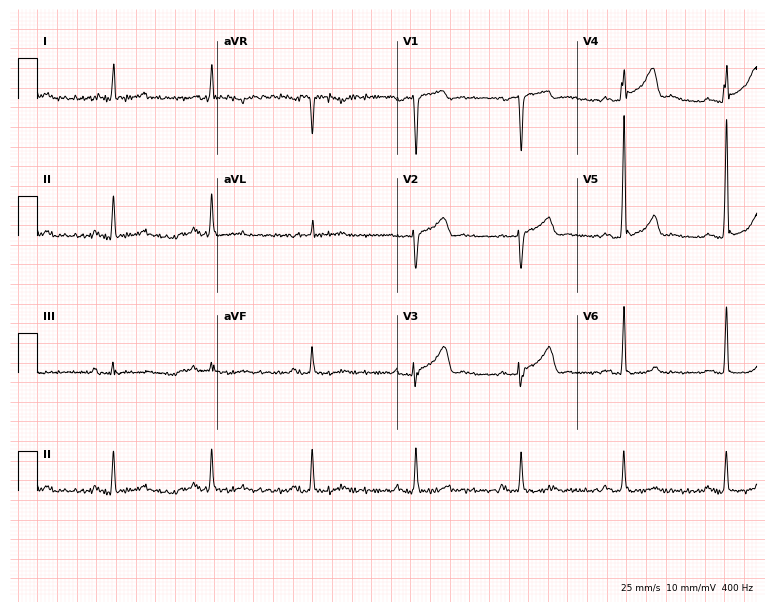
ECG — a male patient, 74 years old. Screened for six findings — first-degree AV block, right bundle branch block, left bundle branch block, sinus bradycardia, atrial fibrillation, sinus tachycardia — none is recorded. Findings outside these six are not listed.